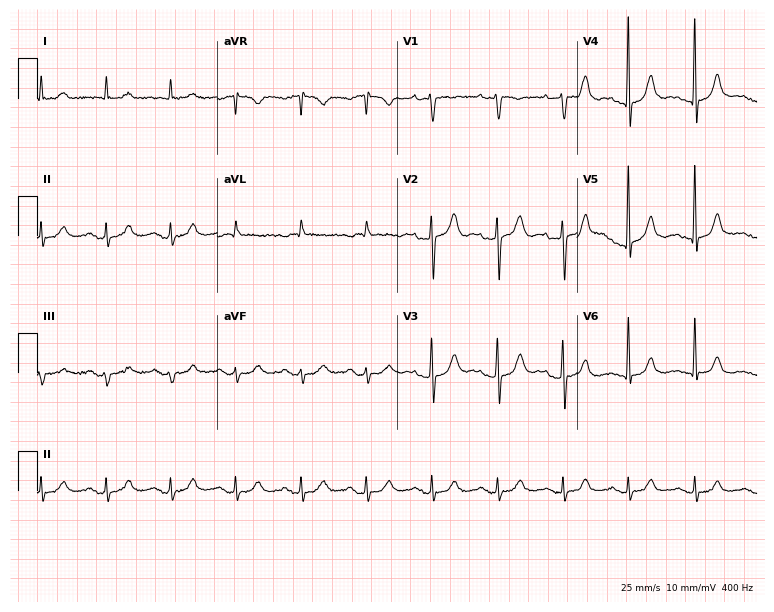
Electrocardiogram, an 84-year-old male. Of the six screened findings (first-degree AV block, right bundle branch block, left bundle branch block, sinus bradycardia, atrial fibrillation, sinus tachycardia), none is recorded. Only these six findings were labelled.